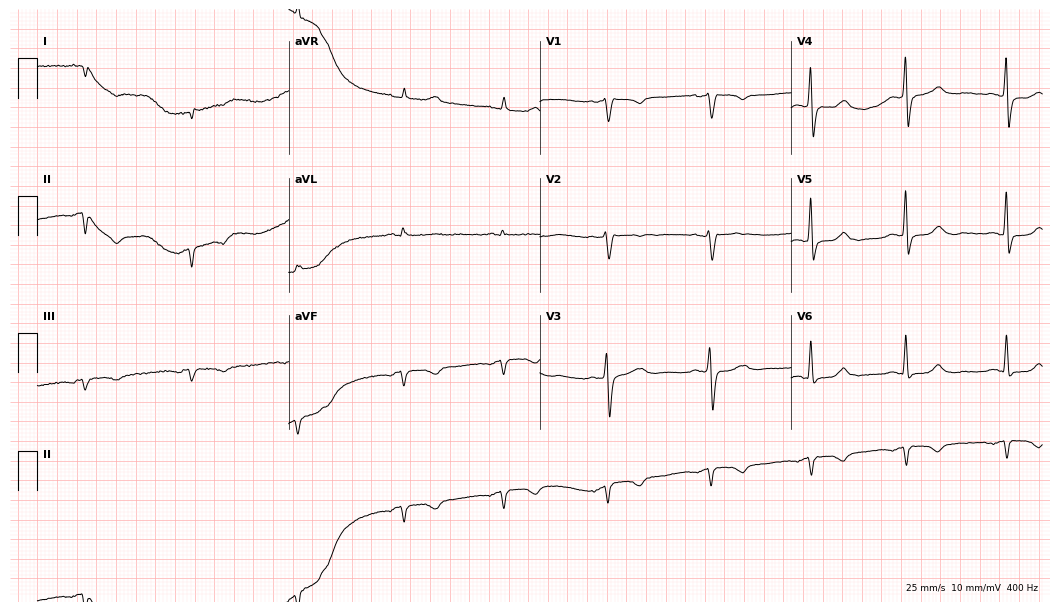
Electrocardiogram (10.2-second recording at 400 Hz), a female, 64 years old. Of the six screened findings (first-degree AV block, right bundle branch block, left bundle branch block, sinus bradycardia, atrial fibrillation, sinus tachycardia), none is recorded.